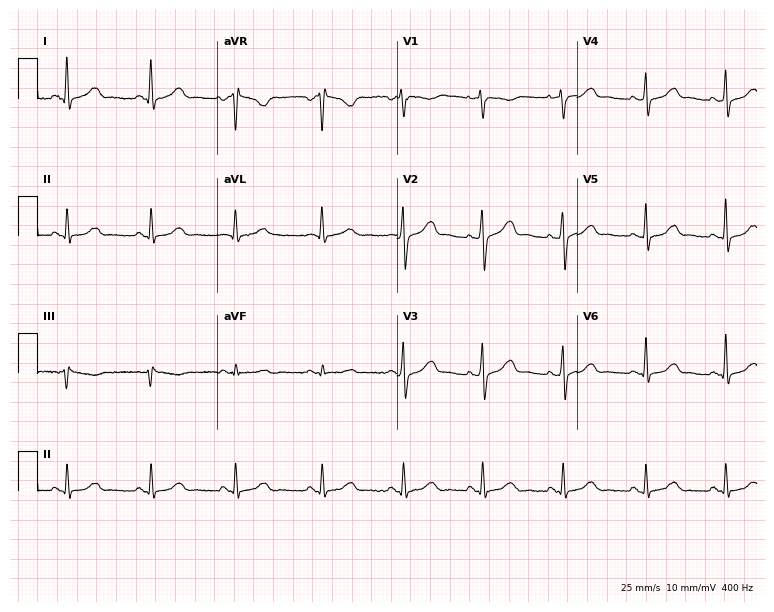
Standard 12-lead ECG recorded from a female patient, 46 years old (7.3-second recording at 400 Hz). None of these six findings is recorded: first-degree AV block, right bundle branch block (RBBB), left bundle branch block (LBBB), sinus bradycardia, atrial fibrillation (AF), sinus tachycardia. Only these six findings were labelled.